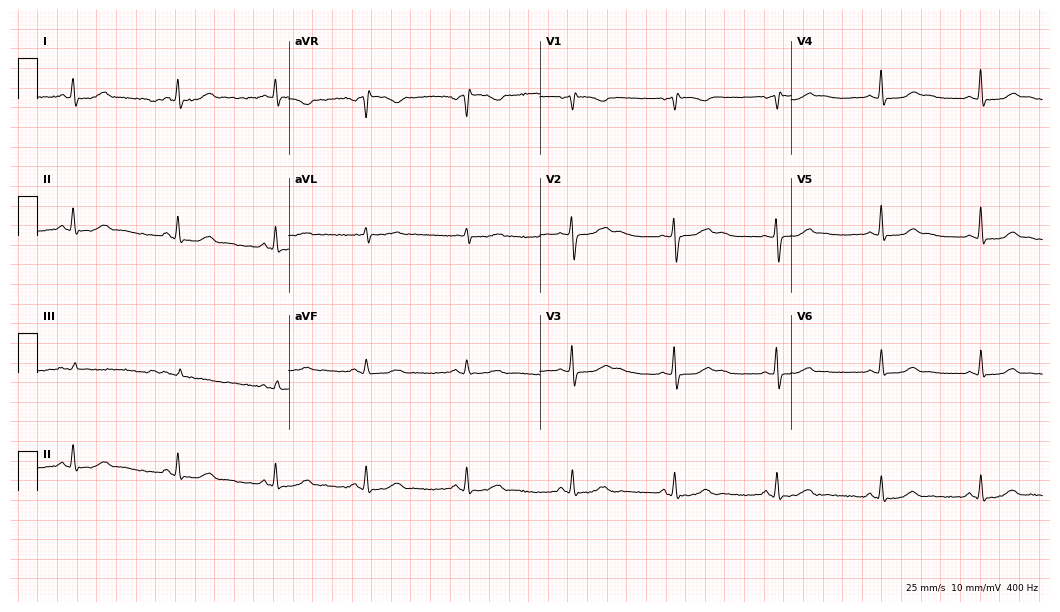
12-lead ECG from a 55-year-old female. No first-degree AV block, right bundle branch block, left bundle branch block, sinus bradycardia, atrial fibrillation or sinus tachycardia recorded for this tracing. Findings outside these six are not listed.